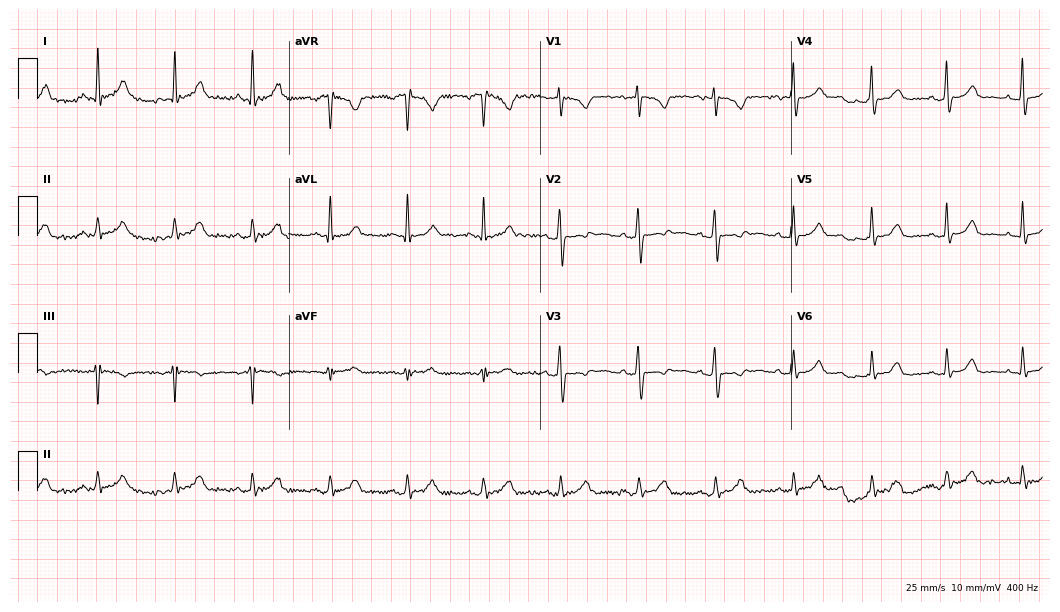
Standard 12-lead ECG recorded from a female, 28 years old. Read as a normal ECG.